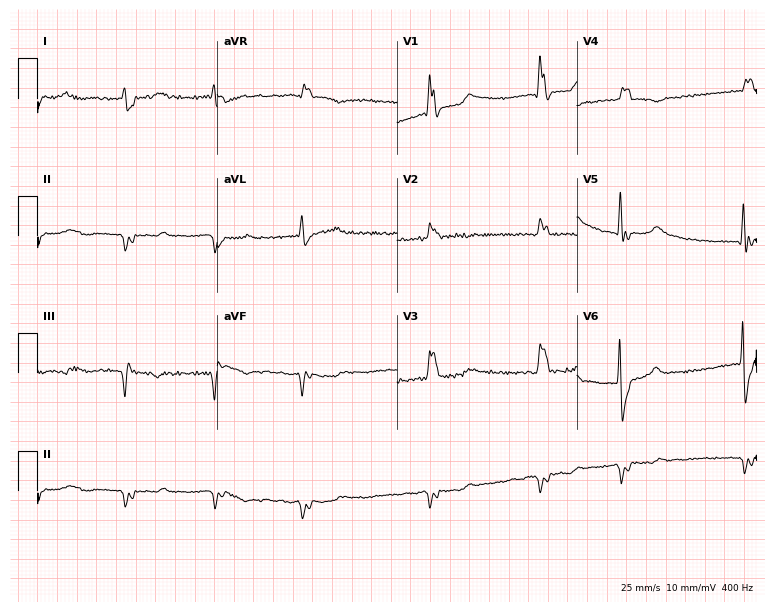
Resting 12-lead electrocardiogram. Patient: a male, 81 years old. The tracing shows right bundle branch block, atrial fibrillation.